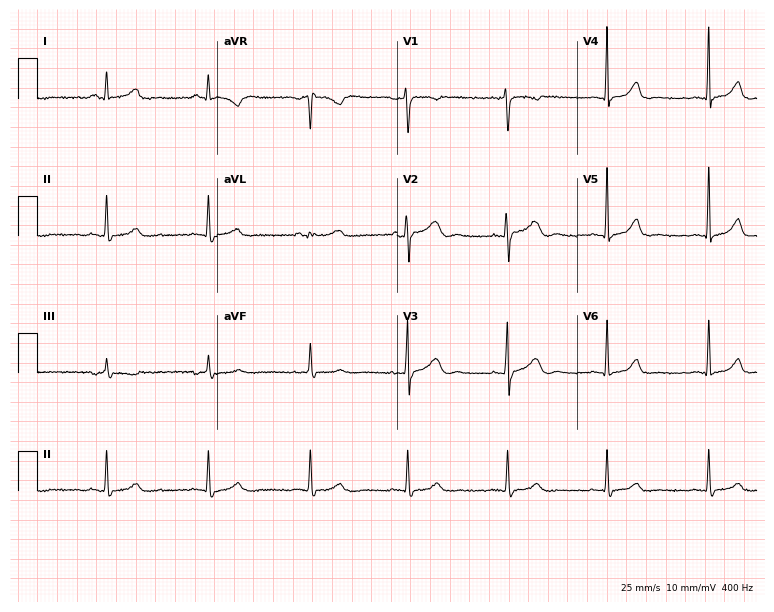
Resting 12-lead electrocardiogram. Patient: a 31-year-old female. None of these six findings is recorded: first-degree AV block, right bundle branch block, left bundle branch block, sinus bradycardia, atrial fibrillation, sinus tachycardia. Only these six findings were labelled.